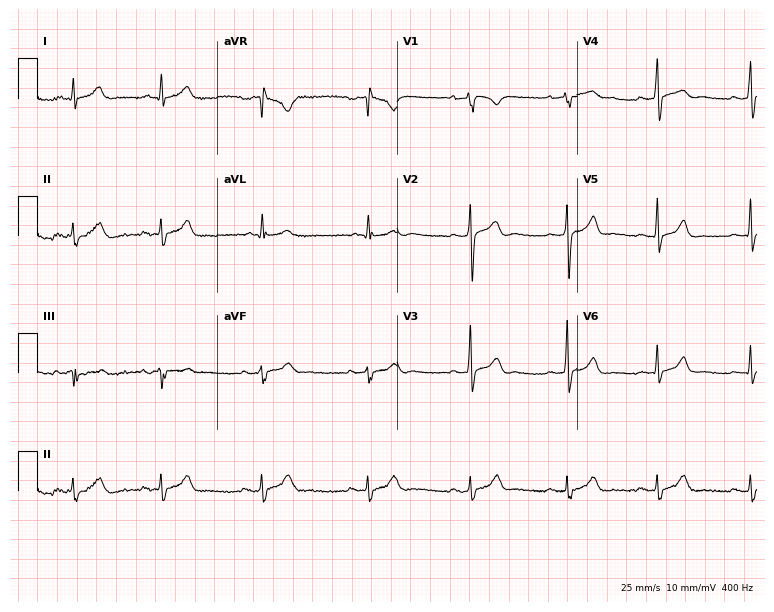
Standard 12-lead ECG recorded from a 28-year-old male patient. Read as a normal ECG.